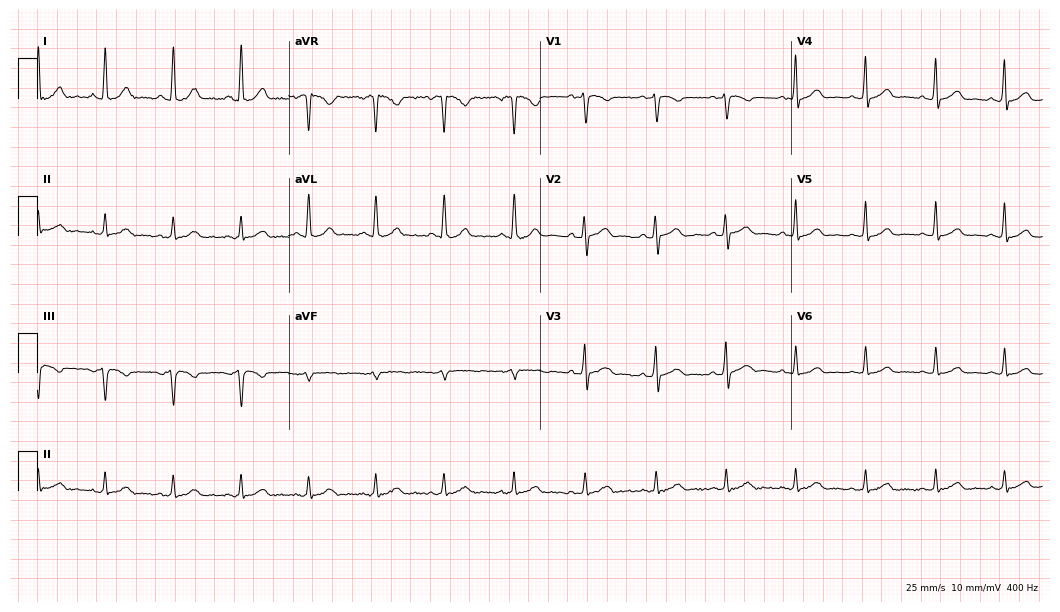
Electrocardiogram, a male, 42 years old. Of the six screened findings (first-degree AV block, right bundle branch block, left bundle branch block, sinus bradycardia, atrial fibrillation, sinus tachycardia), none is recorded. Findings outside these six are not listed.